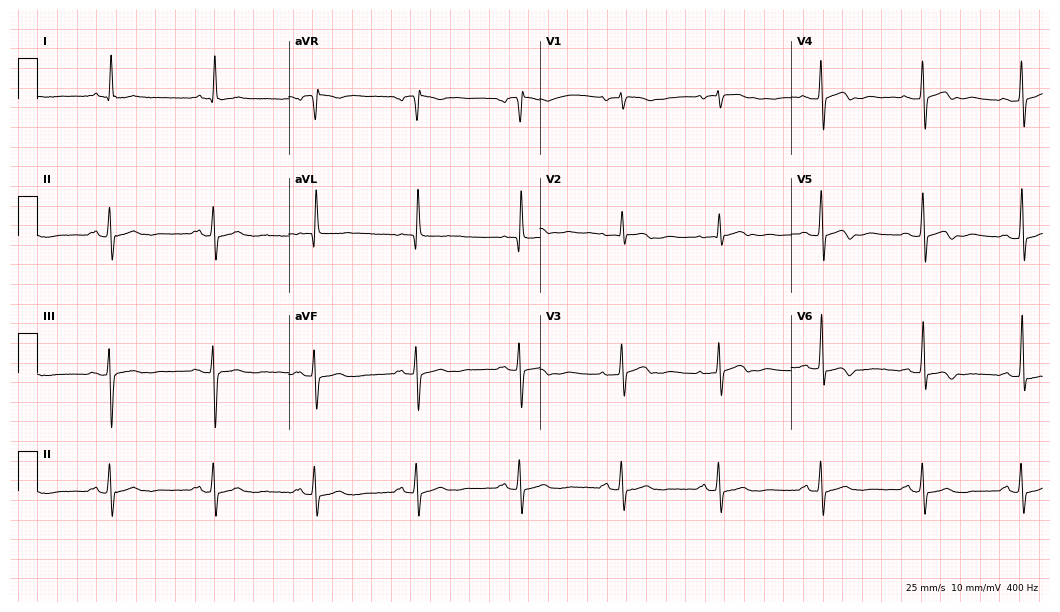
Standard 12-lead ECG recorded from a female patient, 76 years old. None of these six findings is recorded: first-degree AV block, right bundle branch block (RBBB), left bundle branch block (LBBB), sinus bradycardia, atrial fibrillation (AF), sinus tachycardia.